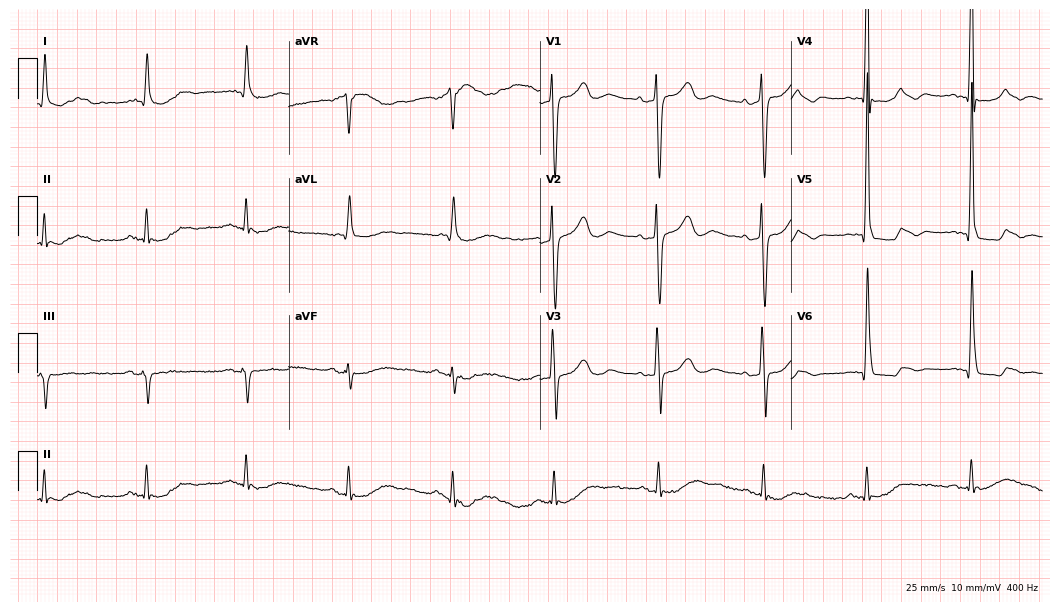
ECG — a man, 84 years old. Screened for six findings — first-degree AV block, right bundle branch block (RBBB), left bundle branch block (LBBB), sinus bradycardia, atrial fibrillation (AF), sinus tachycardia — none is recorded. Only these six findings were labelled.